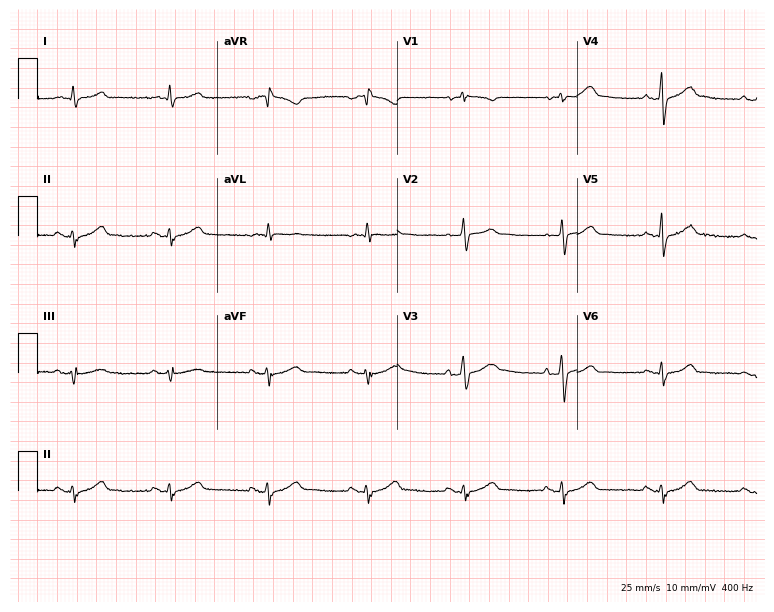
ECG — a male patient, 69 years old. Screened for six findings — first-degree AV block, right bundle branch block (RBBB), left bundle branch block (LBBB), sinus bradycardia, atrial fibrillation (AF), sinus tachycardia — none is recorded.